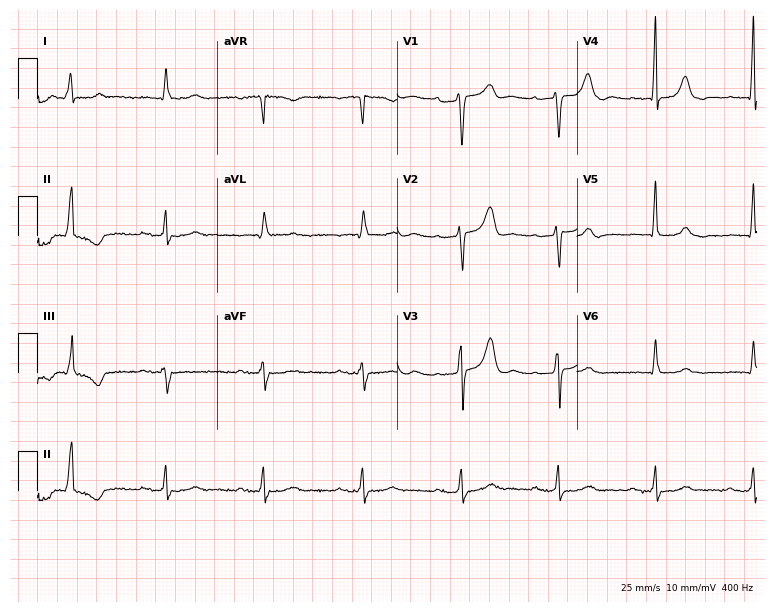
Electrocardiogram (7.3-second recording at 400 Hz), a 76-year-old male. Of the six screened findings (first-degree AV block, right bundle branch block (RBBB), left bundle branch block (LBBB), sinus bradycardia, atrial fibrillation (AF), sinus tachycardia), none is recorded. Only these six findings were labelled.